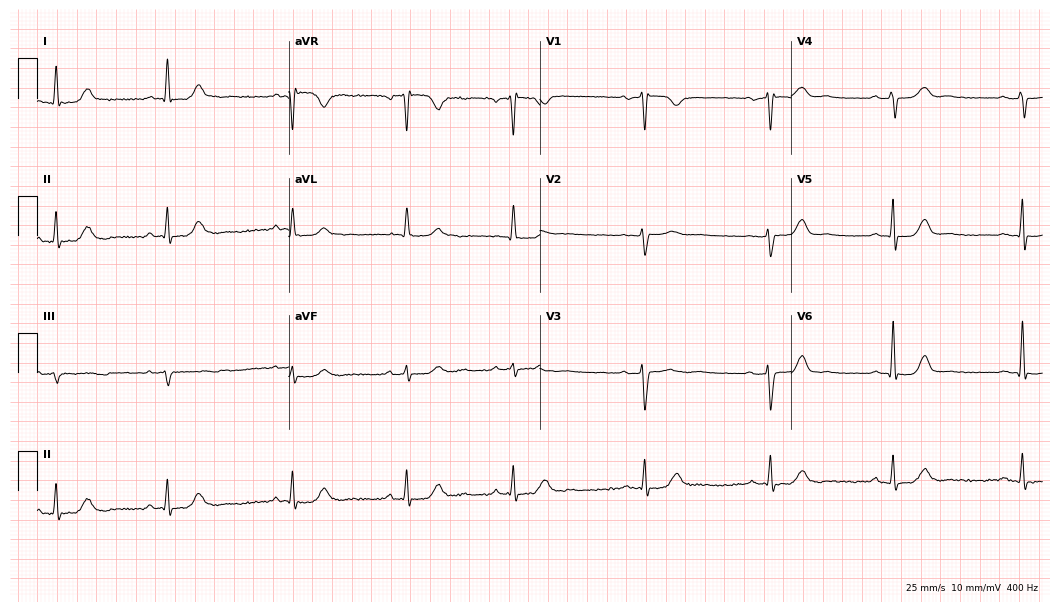
ECG (10.2-second recording at 400 Hz) — a 68-year-old female. Screened for six findings — first-degree AV block, right bundle branch block (RBBB), left bundle branch block (LBBB), sinus bradycardia, atrial fibrillation (AF), sinus tachycardia — none is recorded.